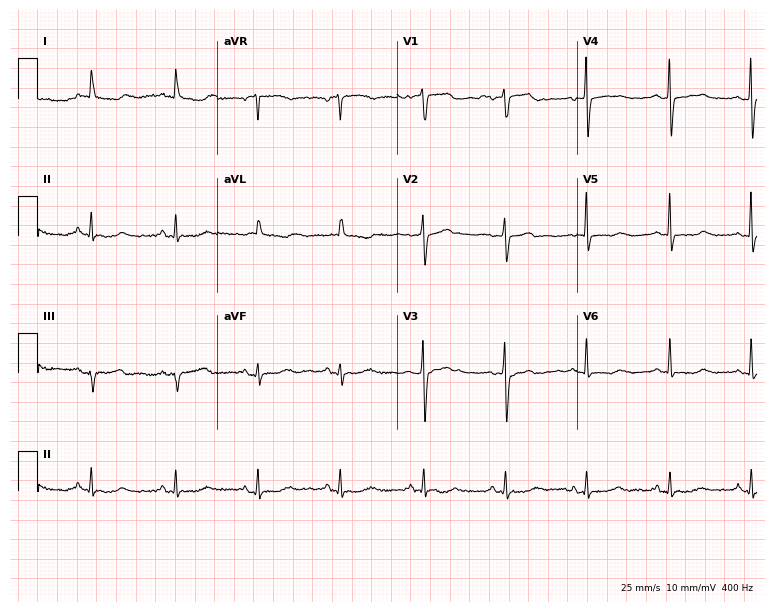
Electrocardiogram, a woman, 65 years old. Of the six screened findings (first-degree AV block, right bundle branch block, left bundle branch block, sinus bradycardia, atrial fibrillation, sinus tachycardia), none is recorded. Findings outside these six are not listed.